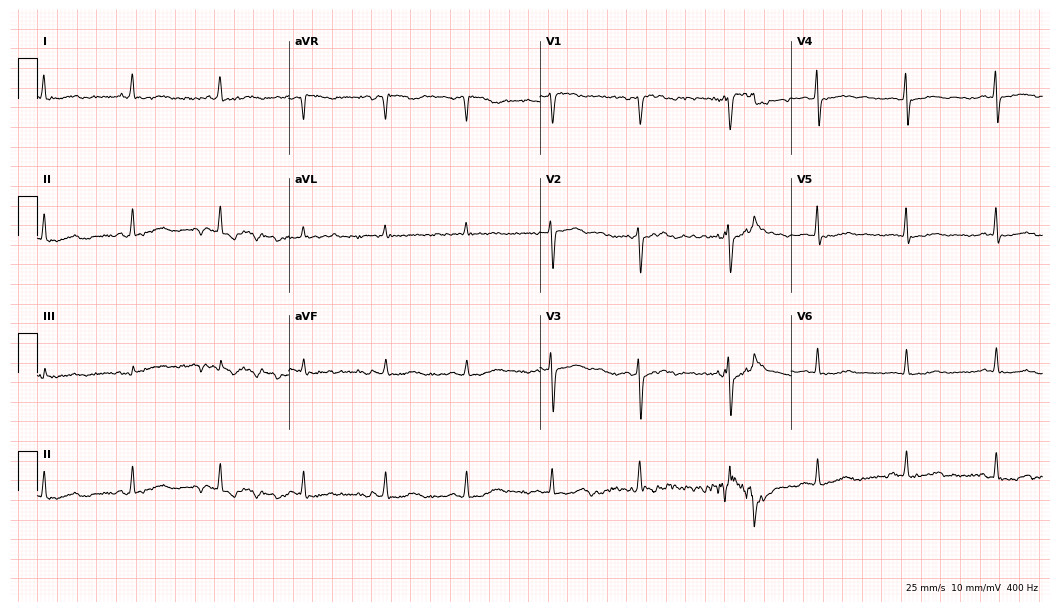
12-lead ECG from a 52-year-old female (10.2-second recording at 400 Hz). No first-degree AV block, right bundle branch block, left bundle branch block, sinus bradycardia, atrial fibrillation or sinus tachycardia recorded for this tracing.